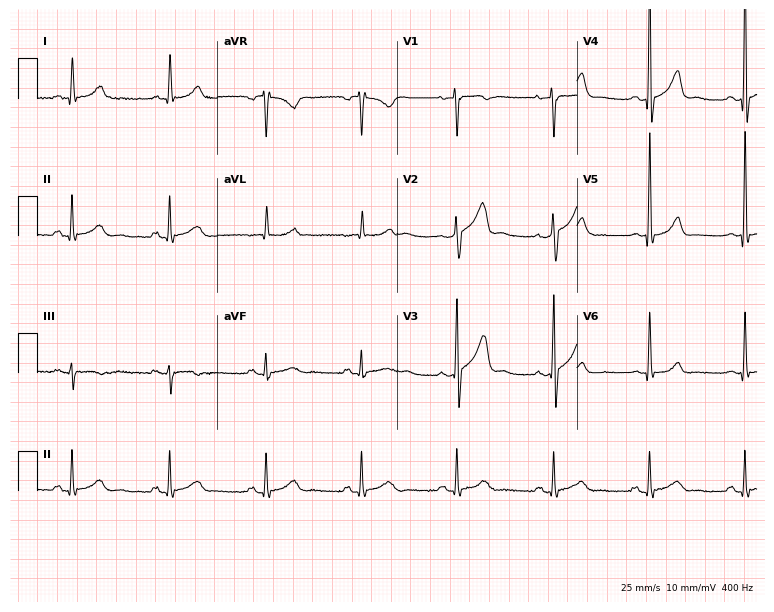
Electrocardiogram, a male patient, 78 years old. Overall reading on record: normal ECG.